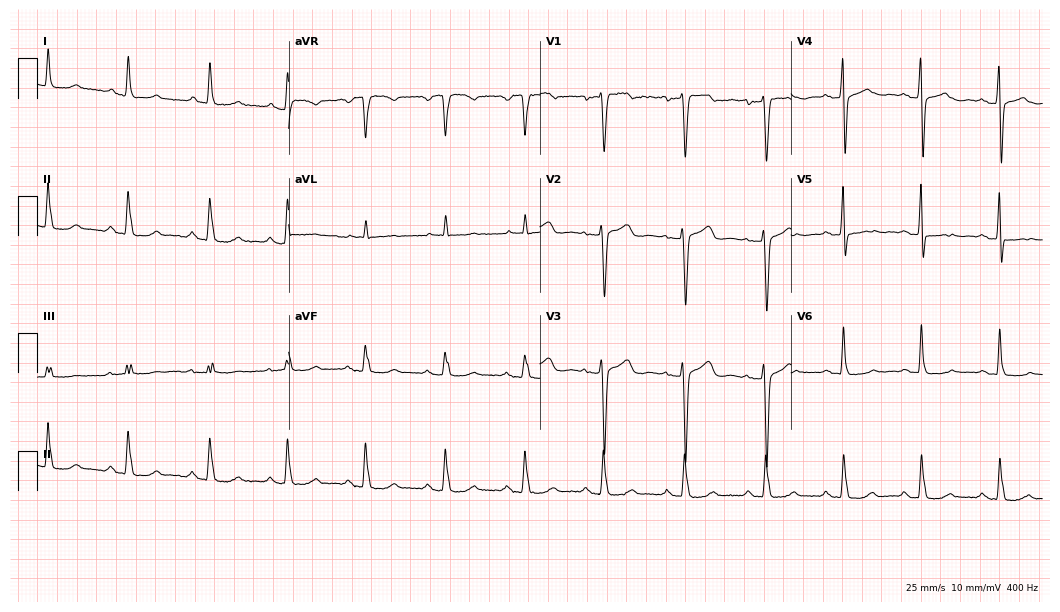
12-lead ECG from a 49-year-old female. Recorded interpretation: within normal limits.